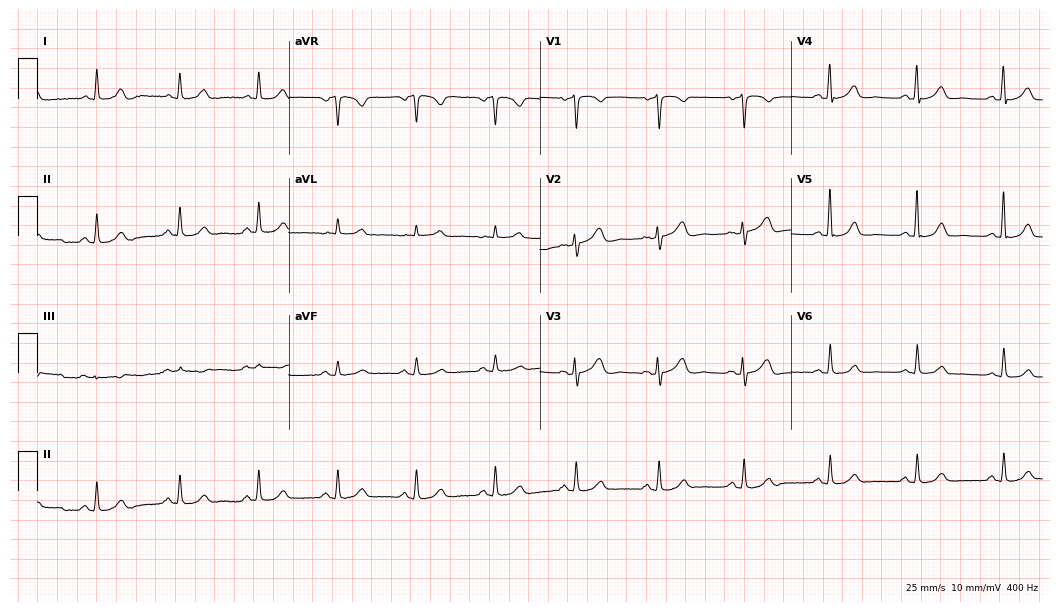
ECG (10.2-second recording at 400 Hz) — a 54-year-old woman. Labelled as a normal ECG.